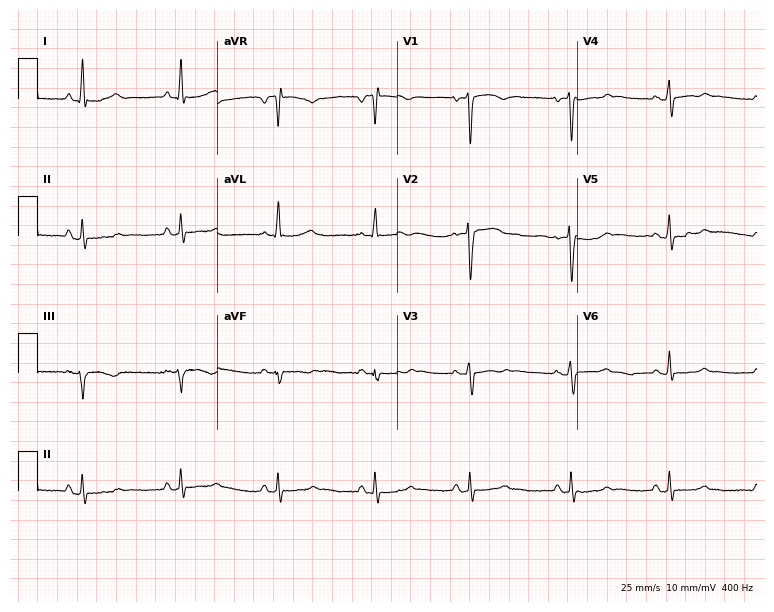
Resting 12-lead electrocardiogram (7.3-second recording at 400 Hz). Patient: a 57-year-old female. None of these six findings is recorded: first-degree AV block, right bundle branch block, left bundle branch block, sinus bradycardia, atrial fibrillation, sinus tachycardia. Other findings, if any, are not listed.